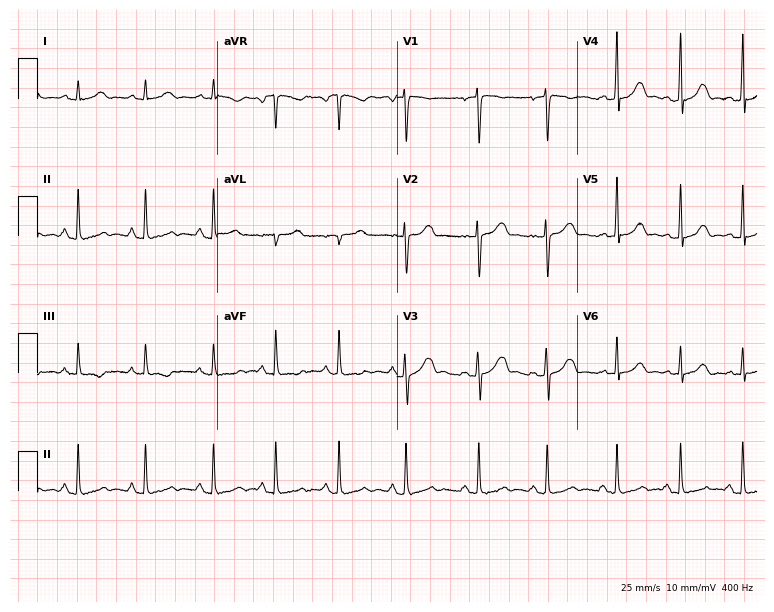
12-lead ECG from a 21-year-old female patient. Recorded interpretation: within normal limits.